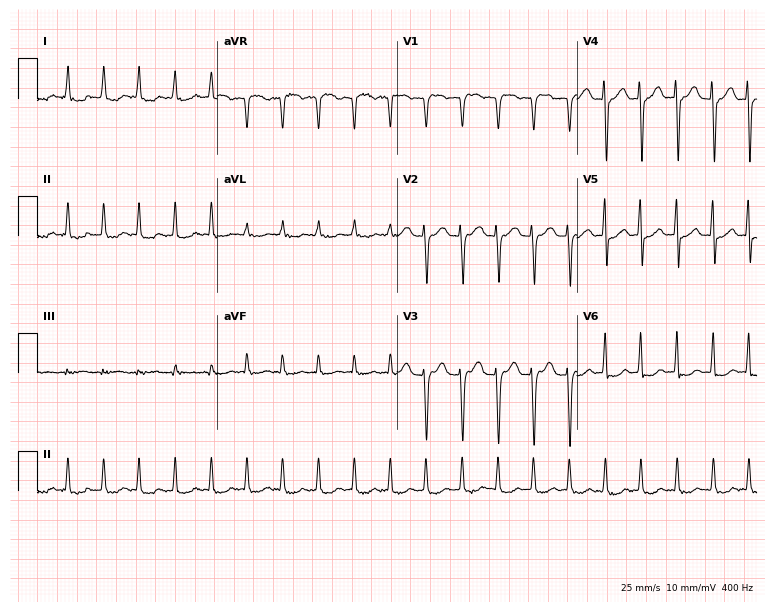
ECG (7.3-second recording at 400 Hz) — a 50-year-old woman. Findings include sinus tachycardia (a sinus rate of 100 beats per minute or more).